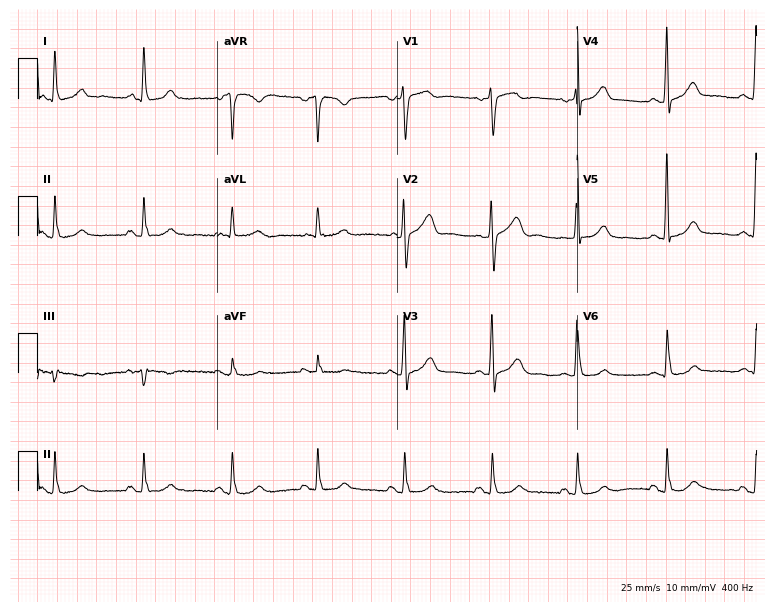
12-lead ECG from a 75-year-old woman (7.3-second recording at 400 Hz). Recorded interpretation: within normal limits.